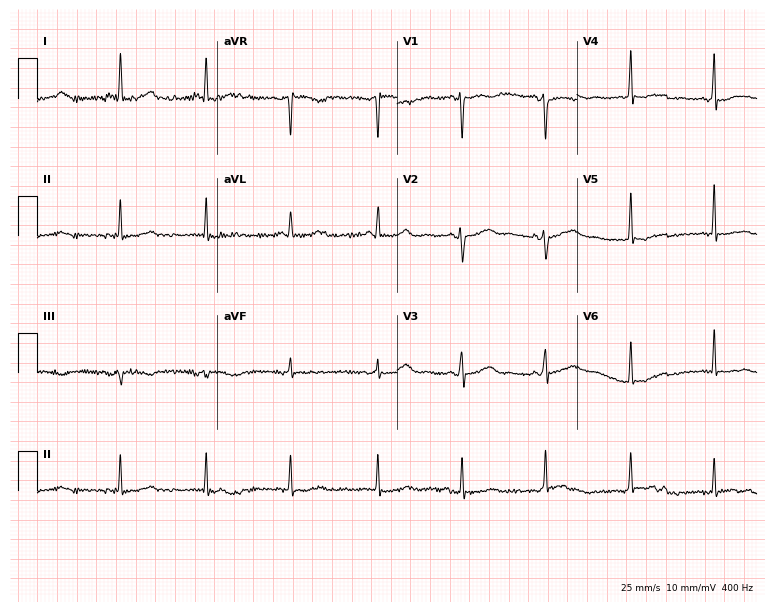
12-lead ECG from a 42-year-old female. No first-degree AV block, right bundle branch block, left bundle branch block, sinus bradycardia, atrial fibrillation or sinus tachycardia recorded for this tracing.